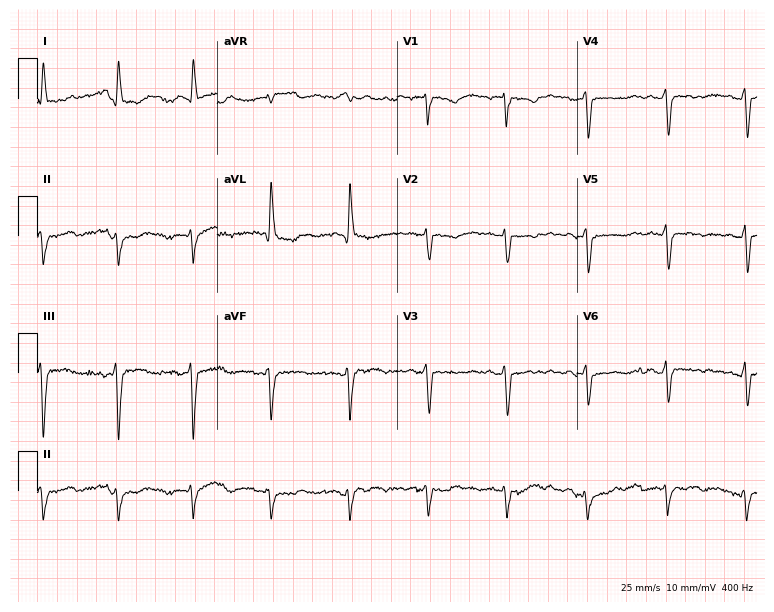
Resting 12-lead electrocardiogram. Patient: a woman, 55 years old. None of these six findings is recorded: first-degree AV block, right bundle branch block, left bundle branch block, sinus bradycardia, atrial fibrillation, sinus tachycardia.